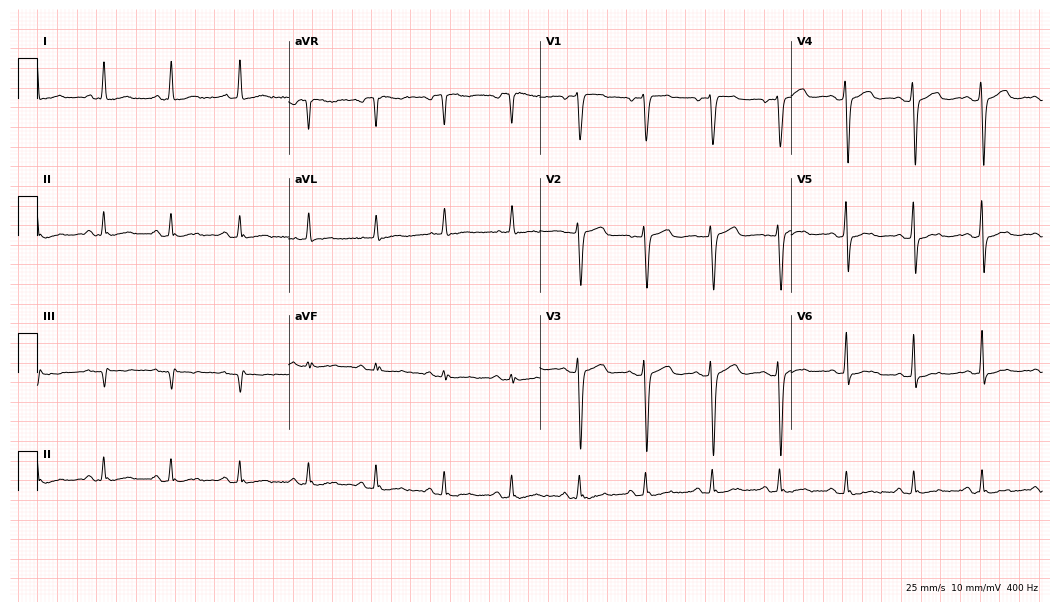
12-lead ECG from a woman, 64 years old. Screened for six findings — first-degree AV block, right bundle branch block (RBBB), left bundle branch block (LBBB), sinus bradycardia, atrial fibrillation (AF), sinus tachycardia — none is recorded.